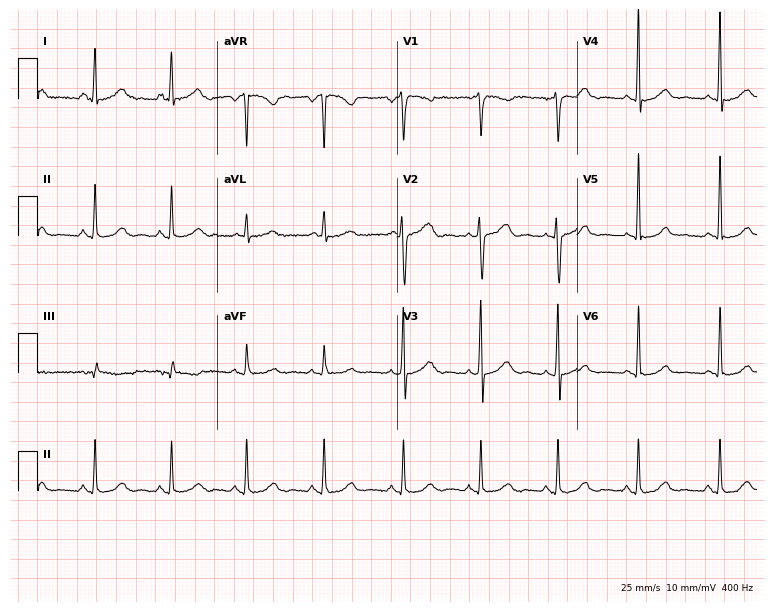
12-lead ECG from a 35-year-old female patient. Labelled as a normal ECG.